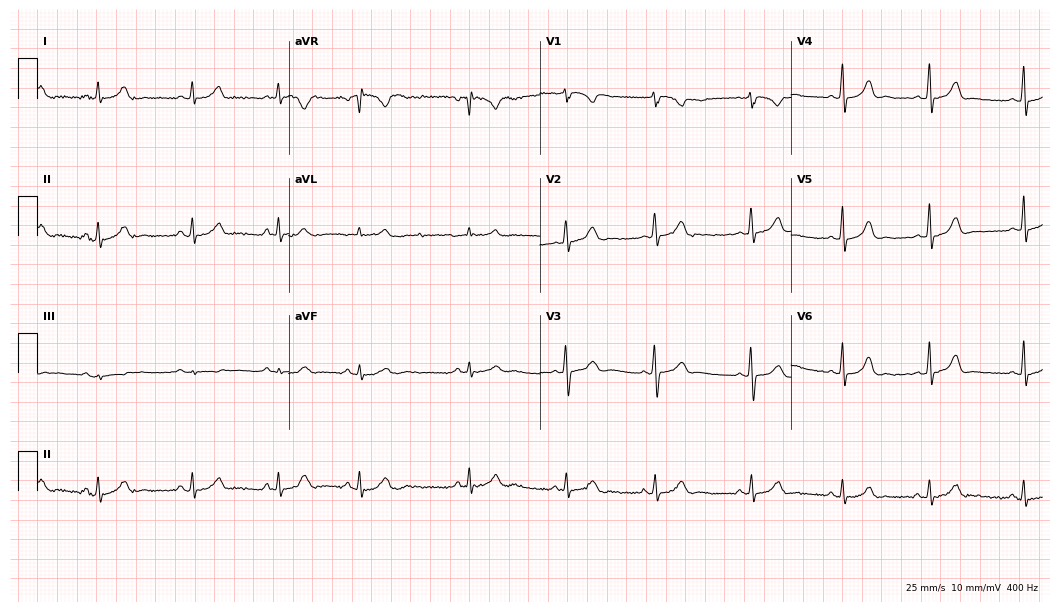
Electrocardiogram (10.2-second recording at 400 Hz), a female patient, 19 years old. Overall reading on record: normal ECG.